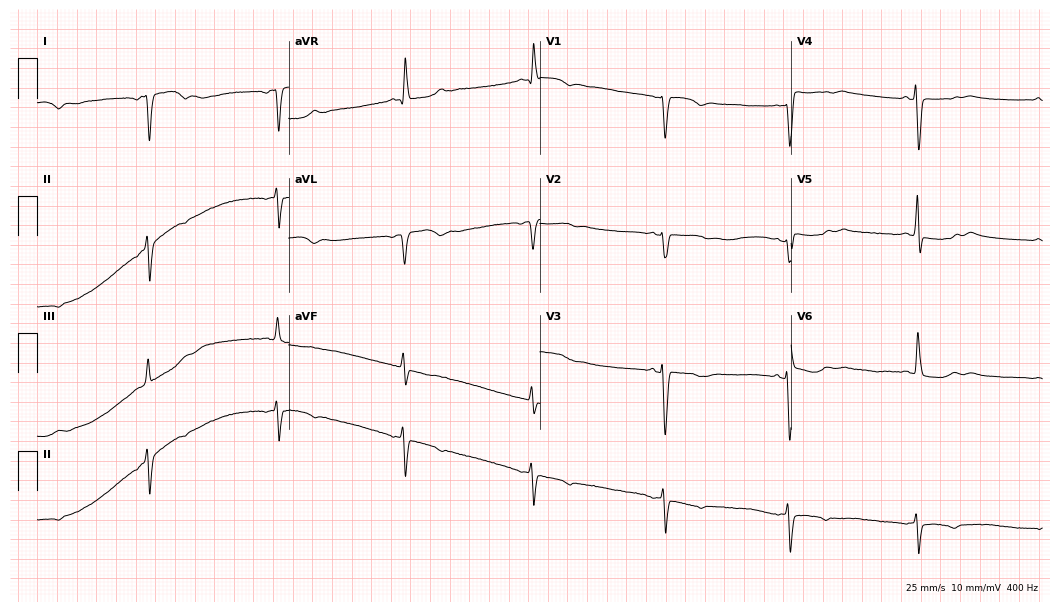
Electrocardiogram (10.2-second recording at 400 Hz), a female patient, 68 years old. Of the six screened findings (first-degree AV block, right bundle branch block, left bundle branch block, sinus bradycardia, atrial fibrillation, sinus tachycardia), none is recorded.